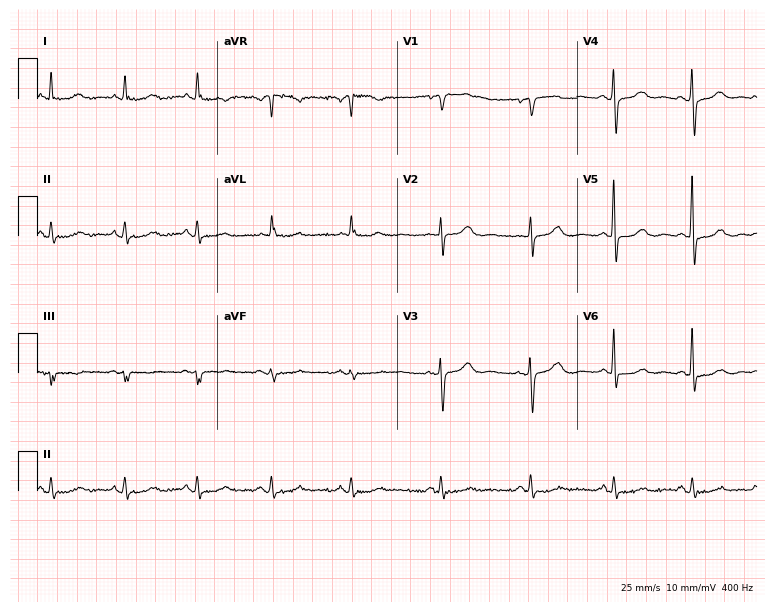
Electrocardiogram (7.3-second recording at 400 Hz), a female, 78 years old. Of the six screened findings (first-degree AV block, right bundle branch block, left bundle branch block, sinus bradycardia, atrial fibrillation, sinus tachycardia), none is recorded.